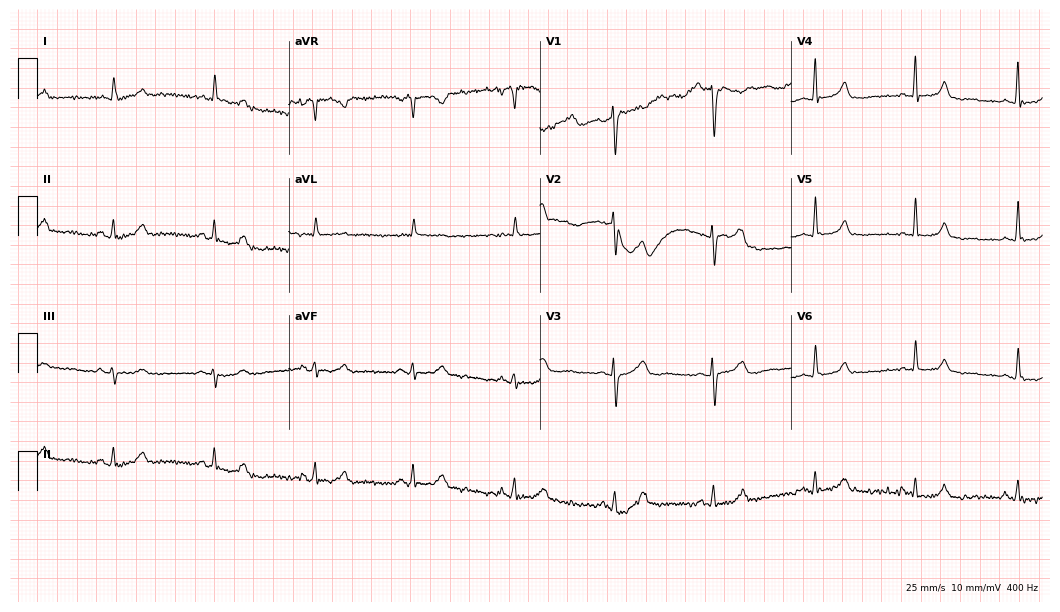
Electrocardiogram, a 65-year-old female patient. Overall reading on record: normal ECG.